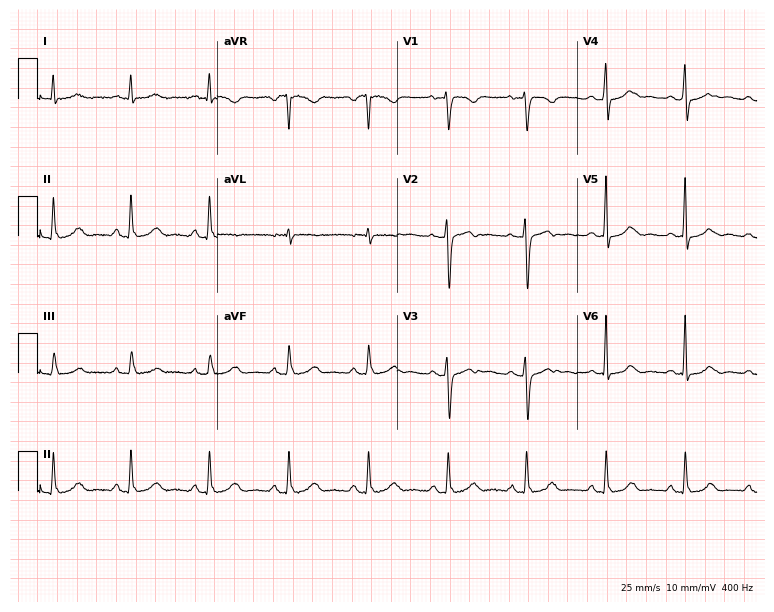
12-lead ECG from a 21-year-old female. Labelled as a normal ECG.